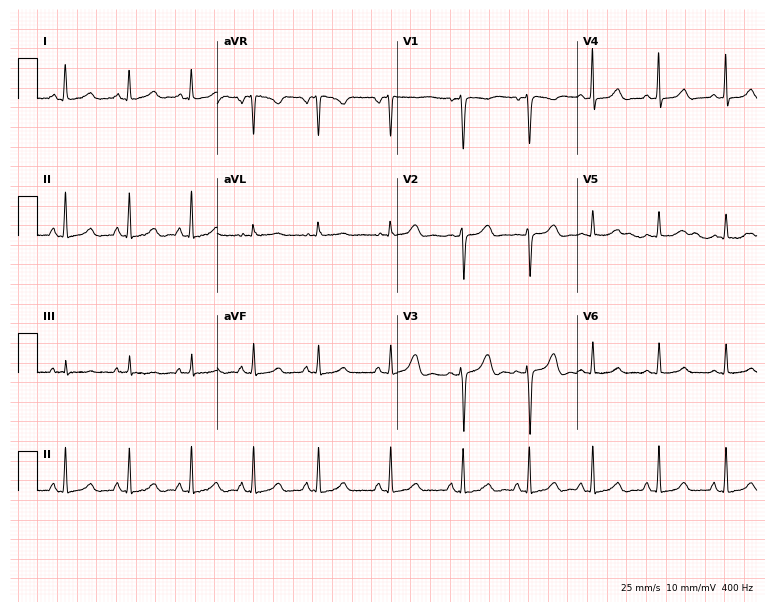
Resting 12-lead electrocardiogram. Patient: a female, 28 years old. None of these six findings is recorded: first-degree AV block, right bundle branch block, left bundle branch block, sinus bradycardia, atrial fibrillation, sinus tachycardia.